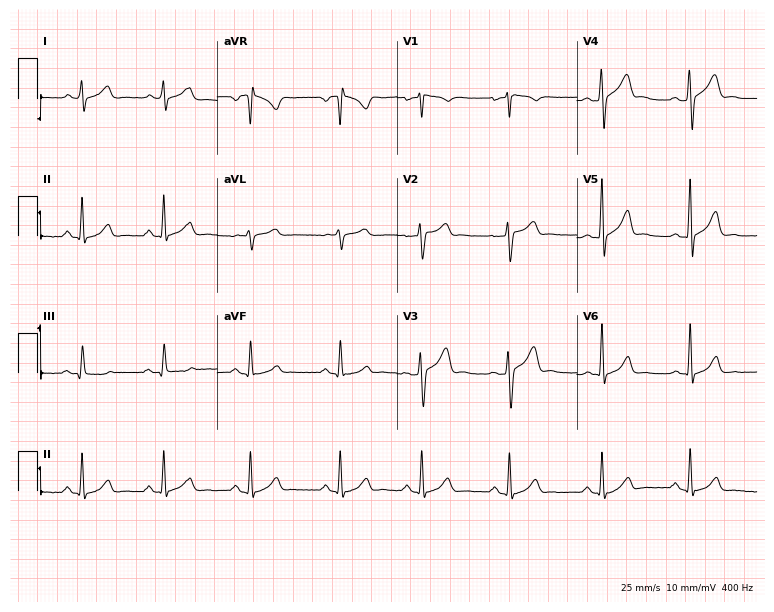
Resting 12-lead electrocardiogram (7.3-second recording at 400 Hz). Patient: a 25-year-old man. Read as a normal ECG.